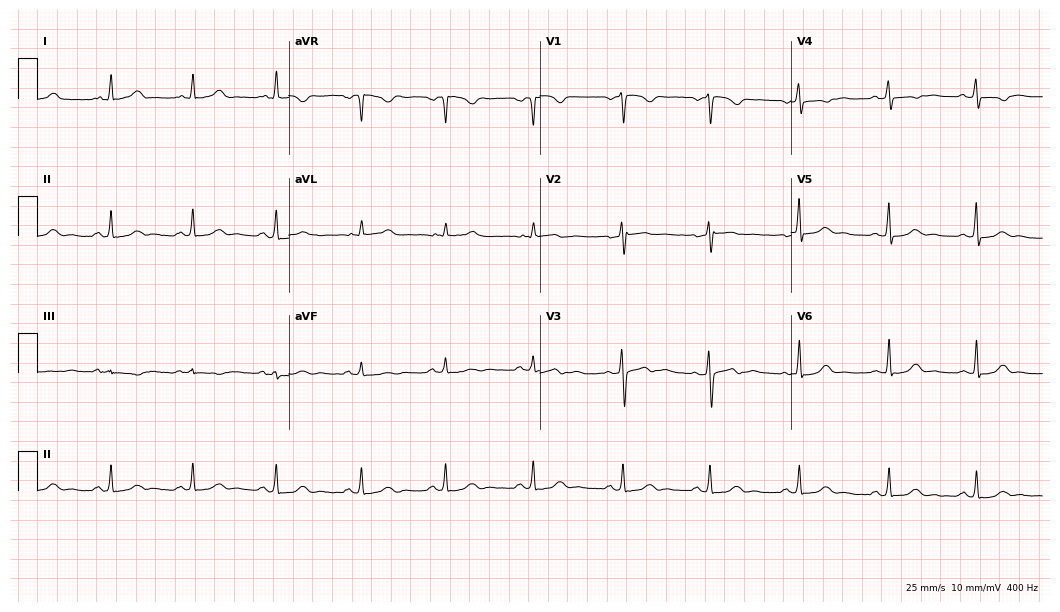
ECG — a 37-year-old female. Screened for six findings — first-degree AV block, right bundle branch block, left bundle branch block, sinus bradycardia, atrial fibrillation, sinus tachycardia — none is recorded. Only these six findings were labelled.